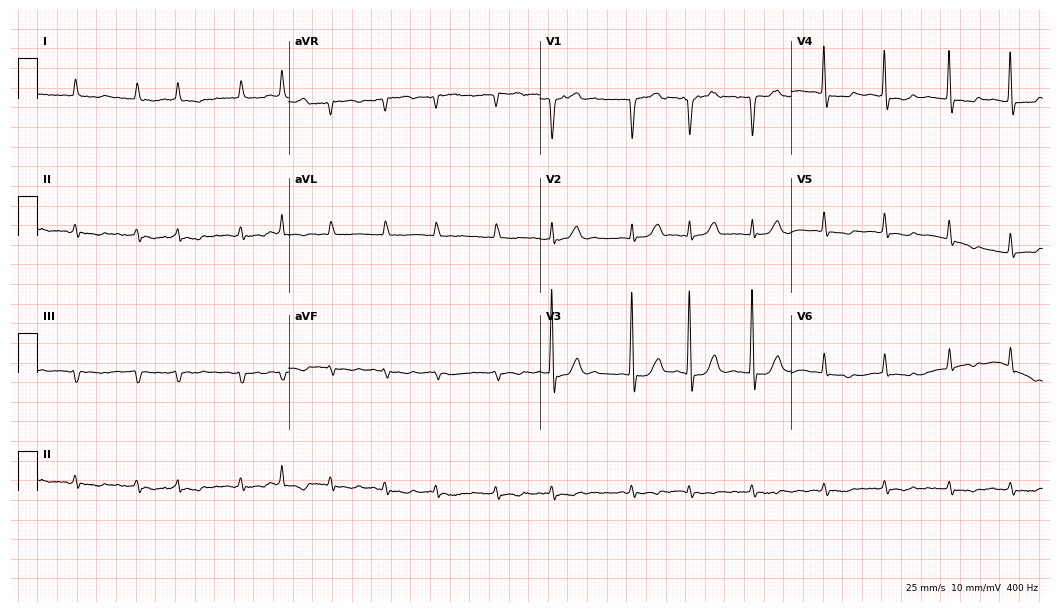
ECG (10.2-second recording at 400 Hz) — an 85-year-old female patient. Findings include atrial fibrillation (AF).